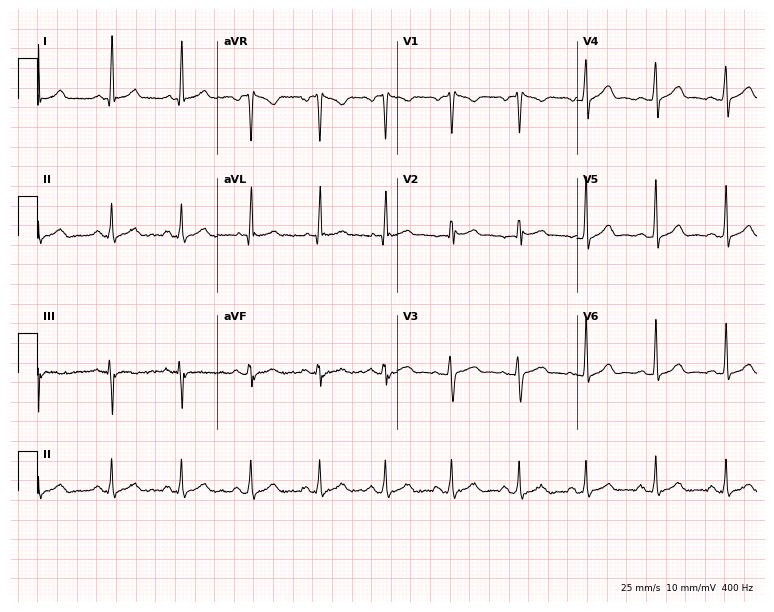
Resting 12-lead electrocardiogram. Patient: a 31-year-old female. Read as a normal ECG.